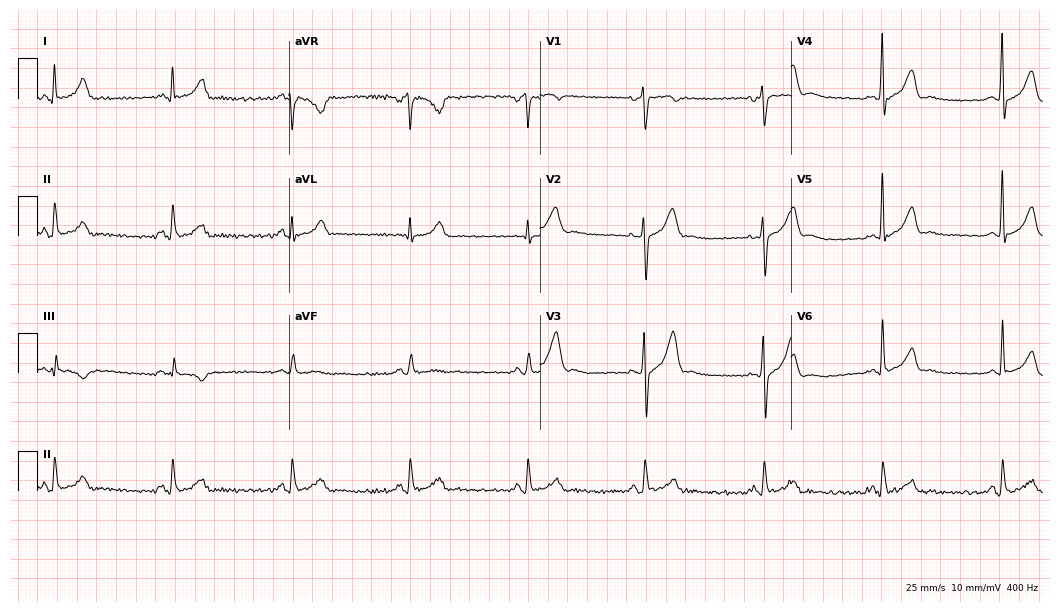
12-lead ECG from a male, 45 years old (10.2-second recording at 400 Hz). Recorded interpretation: within normal limits.